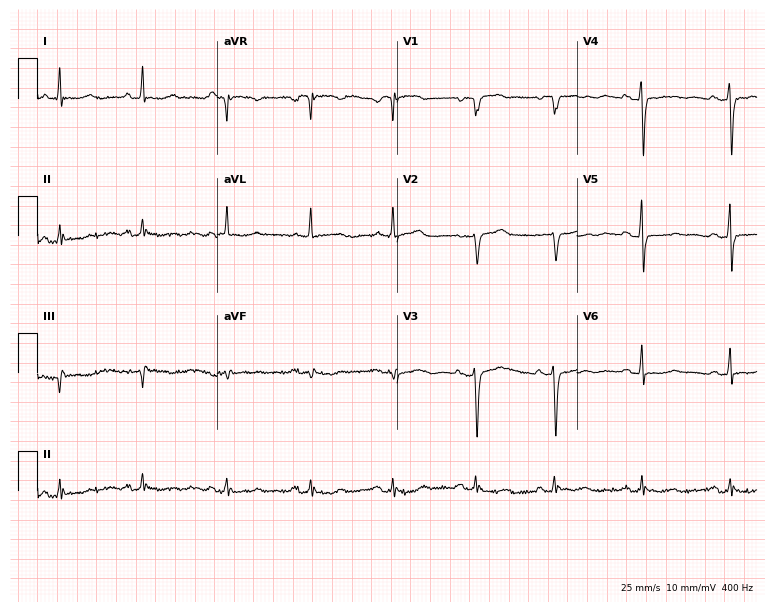
ECG (7.3-second recording at 400 Hz) — a 63-year-old woman. Screened for six findings — first-degree AV block, right bundle branch block (RBBB), left bundle branch block (LBBB), sinus bradycardia, atrial fibrillation (AF), sinus tachycardia — none is recorded. Other findings, if any, are not listed.